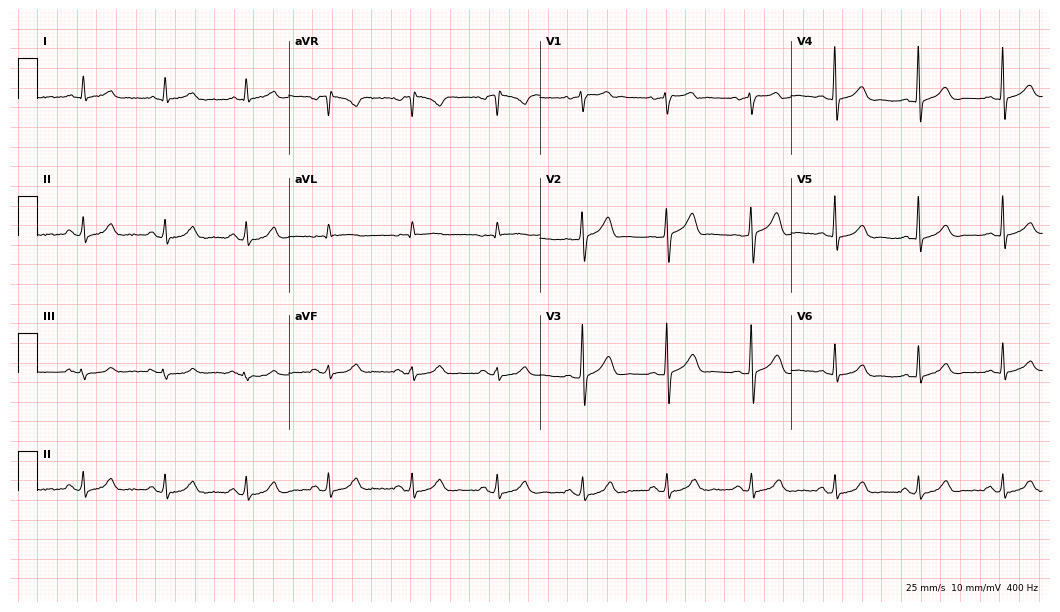
ECG (10.2-second recording at 400 Hz) — a 65-year-old male. Labelled as a normal ECG.